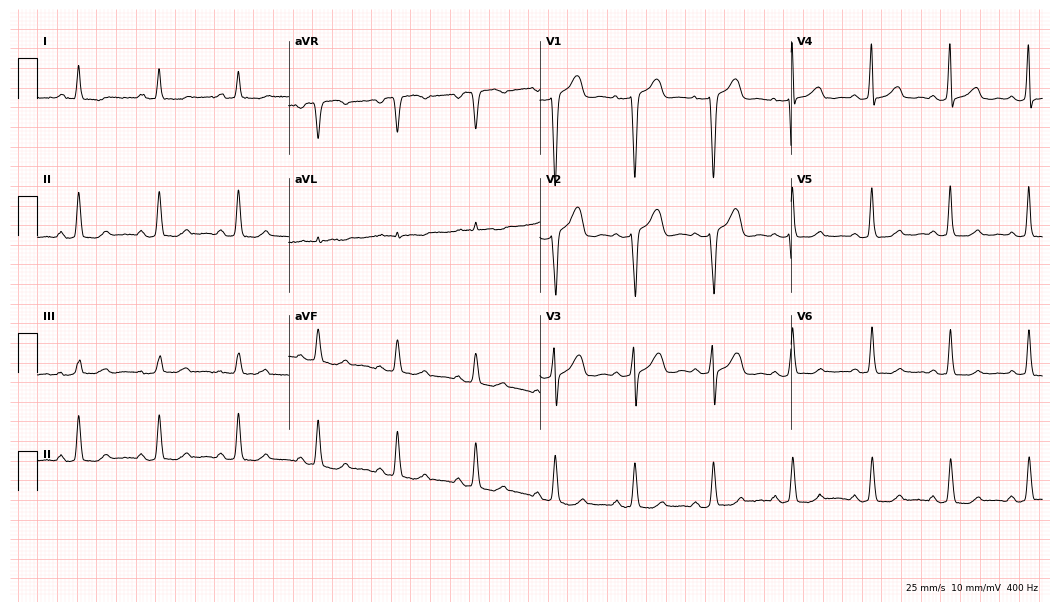
12-lead ECG (10.2-second recording at 400 Hz) from a woman, 42 years old. Screened for six findings — first-degree AV block, right bundle branch block, left bundle branch block, sinus bradycardia, atrial fibrillation, sinus tachycardia — none is recorded. Other findings, if any, are not listed.